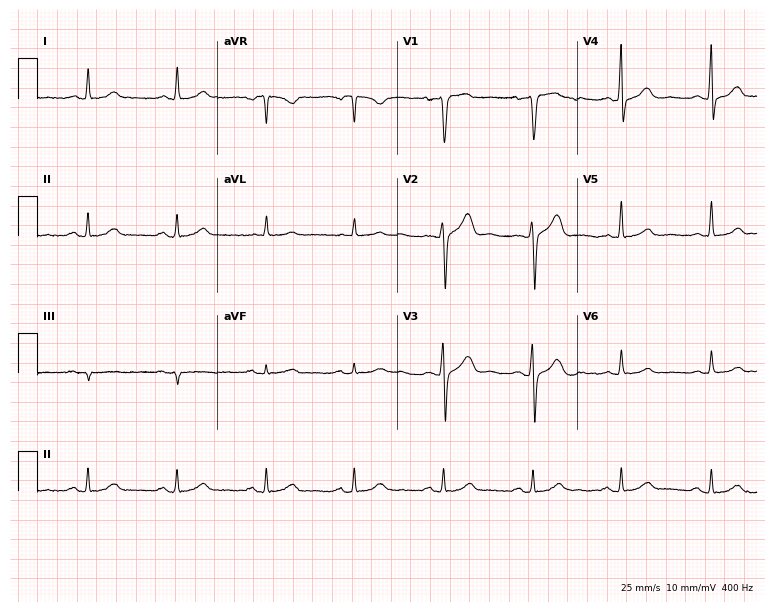
ECG — a 47-year-old male. Labelled as a normal ECG.